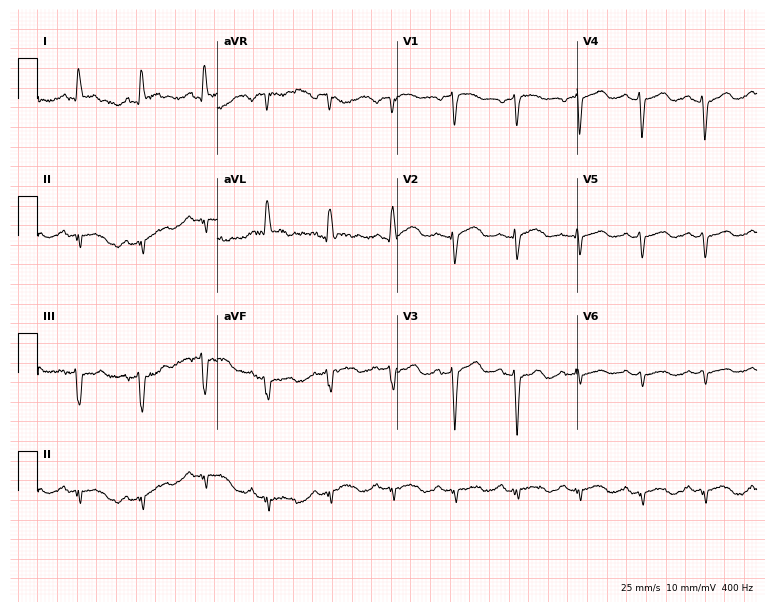
12-lead ECG (7.3-second recording at 400 Hz) from a 55-year-old woman. Screened for six findings — first-degree AV block, right bundle branch block, left bundle branch block, sinus bradycardia, atrial fibrillation, sinus tachycardia — none is recorded.